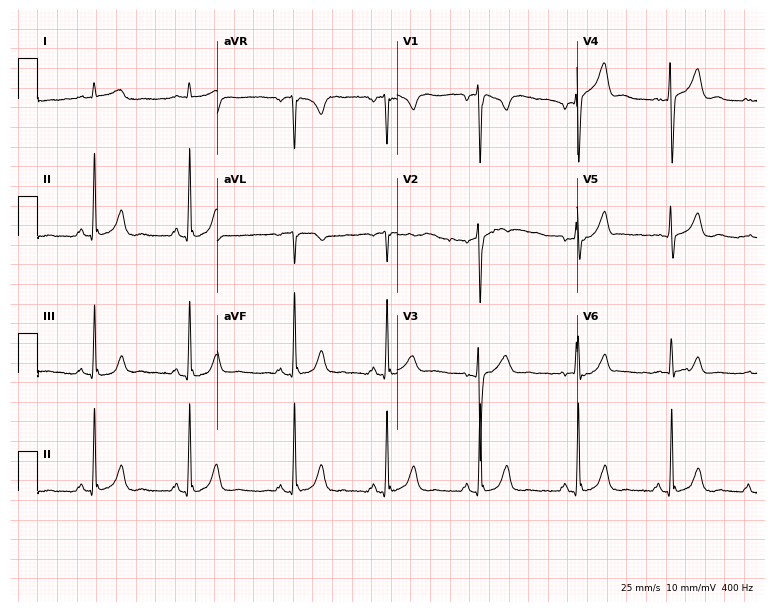
12-lead ECG from a male, 43 years old. No first-degree AV block, right bundle branch block (RBBB), left bundle branch block (LBBB), sinus bradycardia, atrial fibrillation (AF) or sinus tachycardia recorded for this tracing.